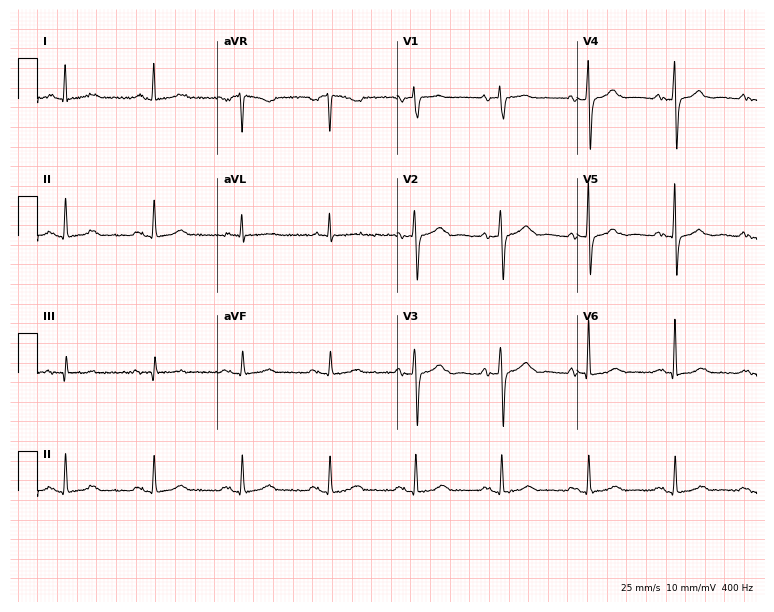
Resting 12-lead electrocardiogram (7.3-second recording at 400 Hz). Patient: a man, 76 years old. None of these six findings is recorded: first-degree AV block, right bundle branch block, left bundle branch block, sinus bradycardia, atrial fibrillation, sinus tachycardia. Findings outside these six are not listed.